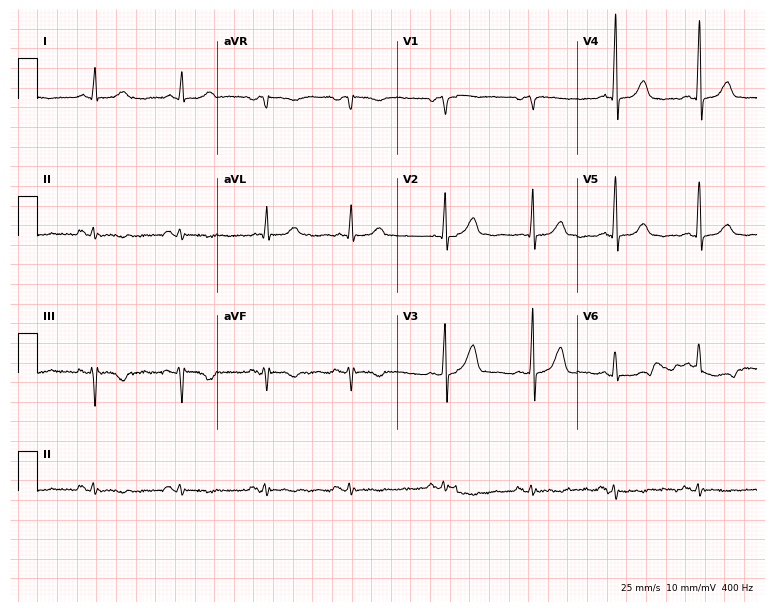
12-lead ECG (7.3-second recording at 400 Hz) from an 82-year-old woman. Screened for six findings — first-degree AV block, right bundle branch block, left bundle branch block, sinus bradycardia, atrial fibrillation, sinus tachycardia — none is recorded.